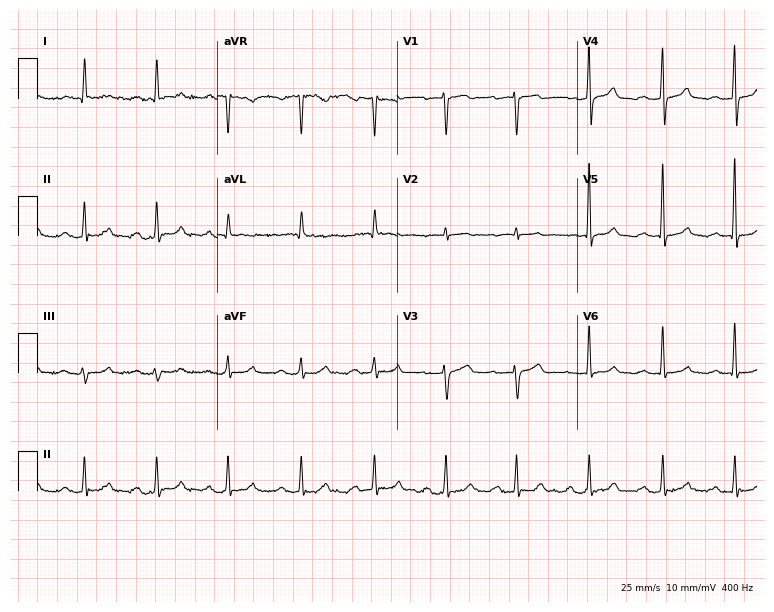
Standard 12-lead ECG recorded from a 73-year-old woman. The tracing shows first-degree AV block.